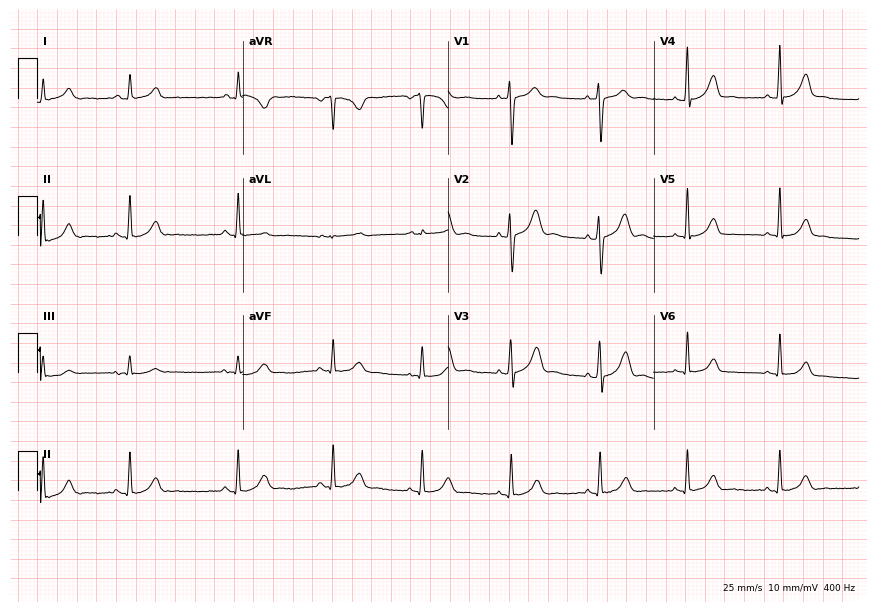
Resting 12-lead electrocardiogram. Patient: a 36-year-old female. Read as a normal ECG.